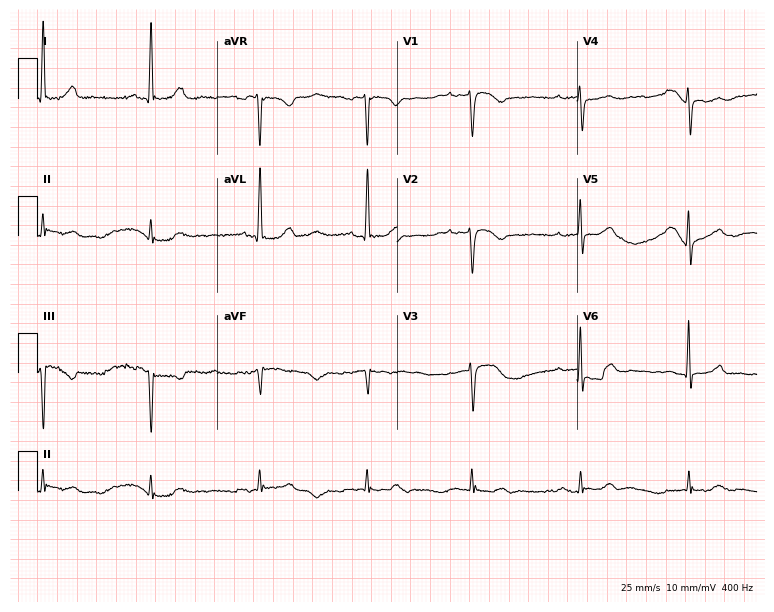
12-lead ECG from an 81-year-old woman. No first-degree AV block, right bundle branch block (RBBB), left bundle branch block (LBBB), sinus bradycardia, atrial fibrillation (AF) or sinus tachycardia recorded for this tracing.